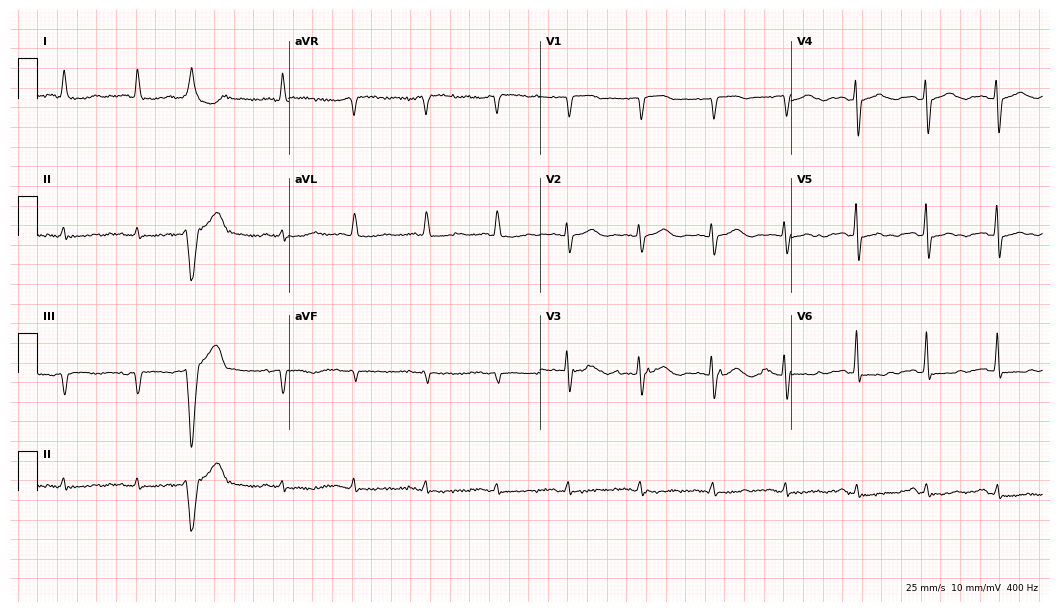
ECG (10.2-second recording at 400 Hz) — a woman, 85 years old. Screened for six findings — first-degree AV block, right bundle branch block, left bundle branch block, sinus bradycardia, atrial fibrillation, sinus tachycardia — none is recorded. Other findings, if any, are not listed.